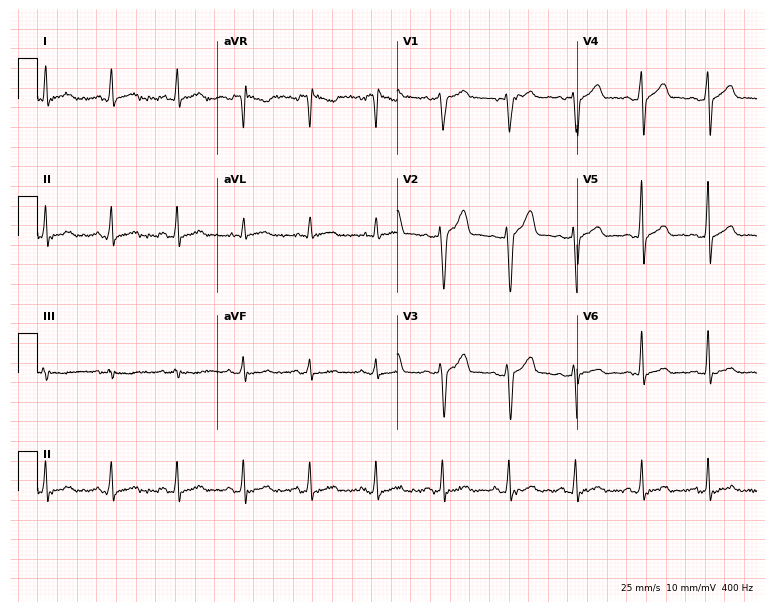
12-lead ECG from a 42-year-old man. Labelled as a normal ECG.